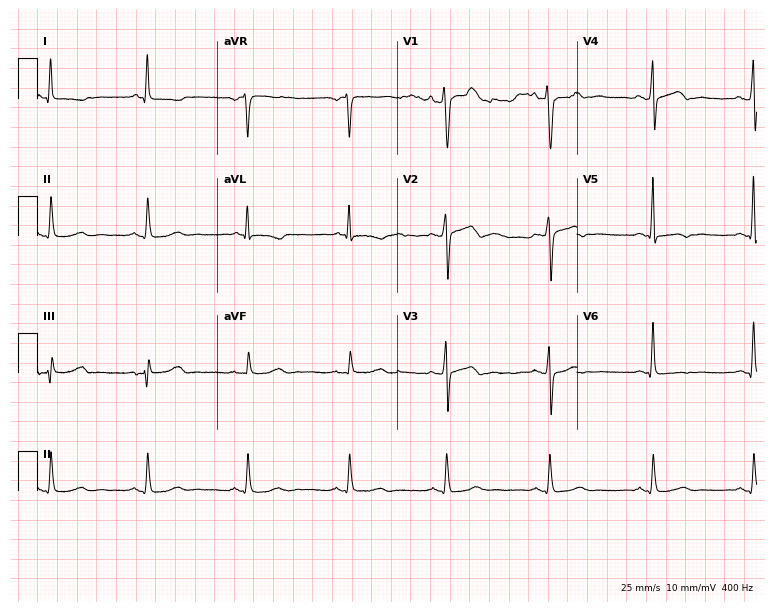
Standard 12-lead ECG recorded from a female, 51 years old. None of these six findings is recorded: first-degree AV block, right bundle branch block, left bundle branch block, sinus bradycardia, atrial fibrillation, sinus tachycardia.